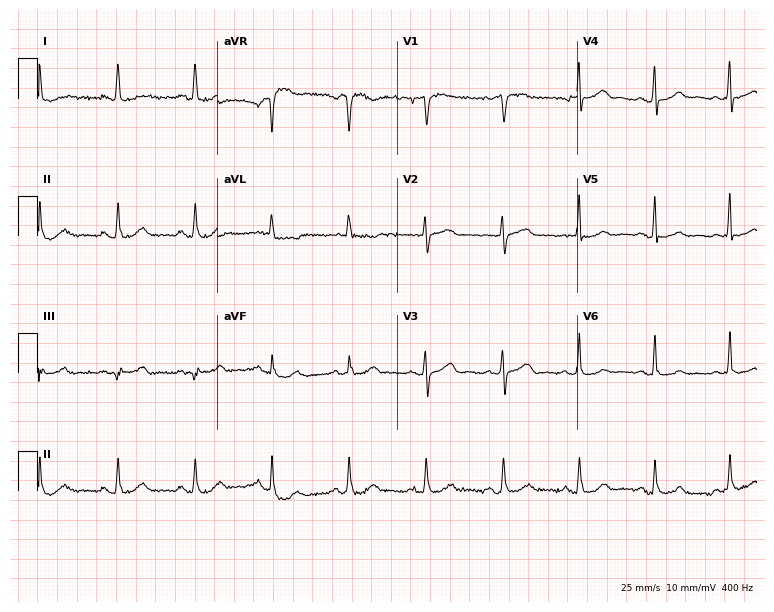
Electrocardiogram (7.3-second recording at 400 Hz), a 73-year-old female. Of the six screened findings (first-degree AV block, right bundle branch block, left bundle branch block, sinus bradycardia, atrial fibrillation, sinus tachycardia), none is recorded.